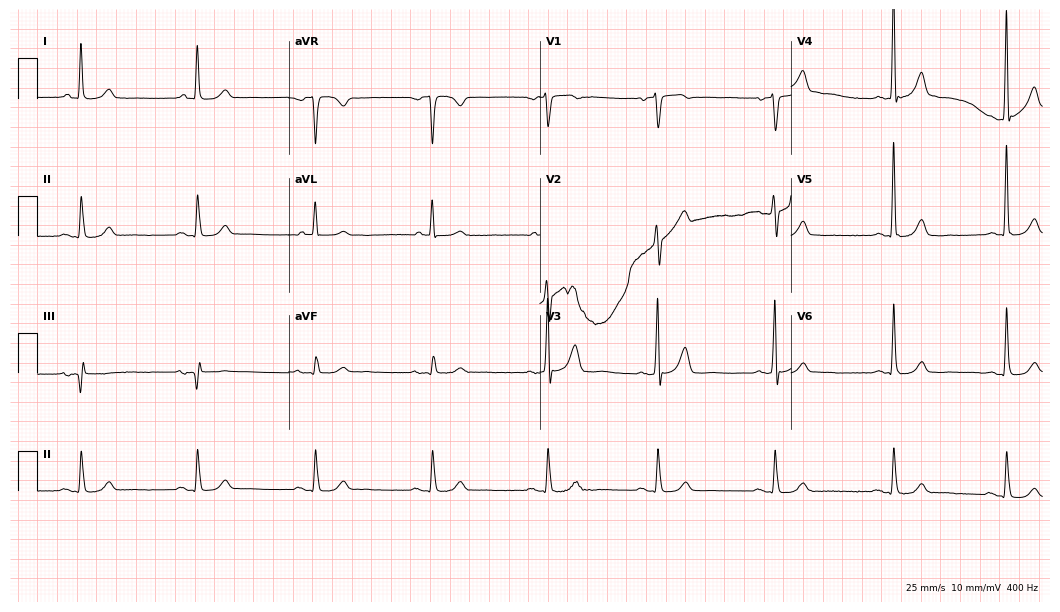
ECG — a woman, 78 years old. Labelled as a normal ECG.